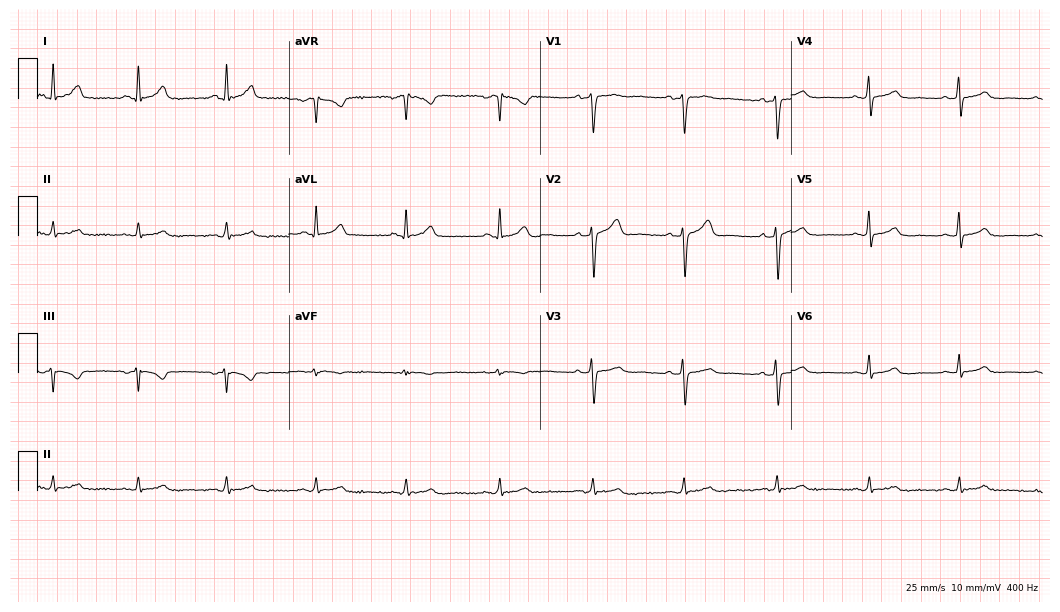
Resting 12-lead electrocardiogram (10.2-second recording at 400 Hz). Patient: a 50-year-old female. Read as a normal ECG.